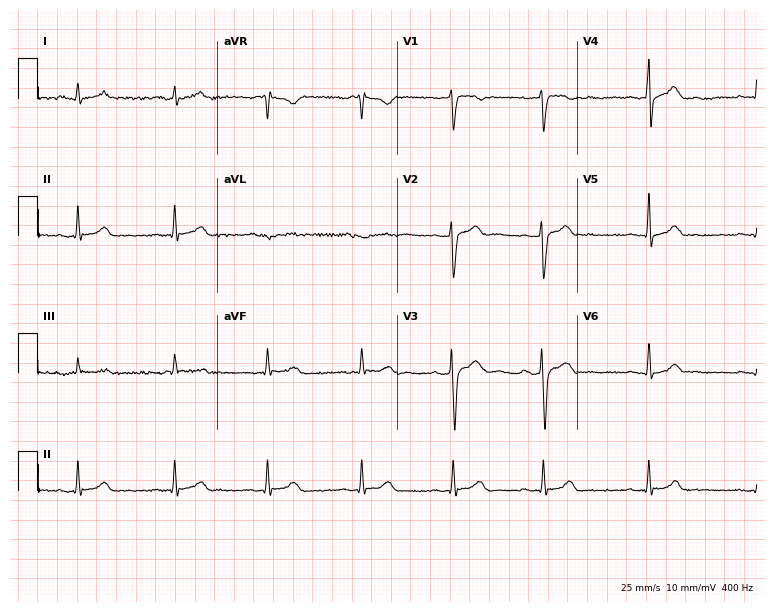
12-lead ECG from a male patient, 27 years old. Screened for six findings — first-degree AV block, right bundle branch block, left bundle branch block, sinus bradycardia, atrial fibrillation, sinus tachycardia — none is recorded.